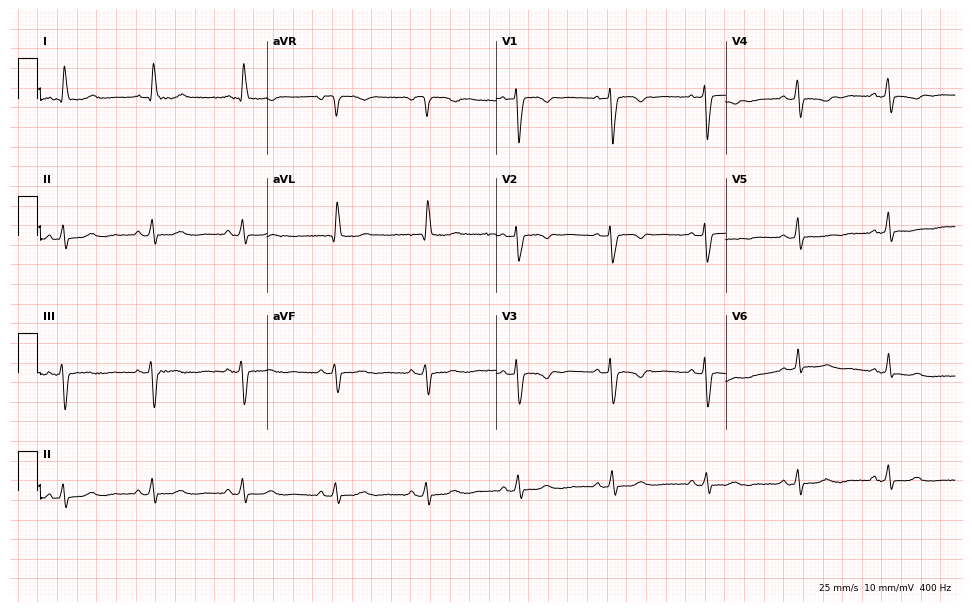
Resting 12-lead electrocardiogram (9.4-second recording at 400 Hz). Patient: a female, 60 years old. None of these six findings is recorded: first-degree AV block, right bundle branch block (RBBB), left bundle branch block (LBBB), sinus bradycardia, atrial fibrillation (AF), sinus tachycardia. Findings outside these six are not listed.